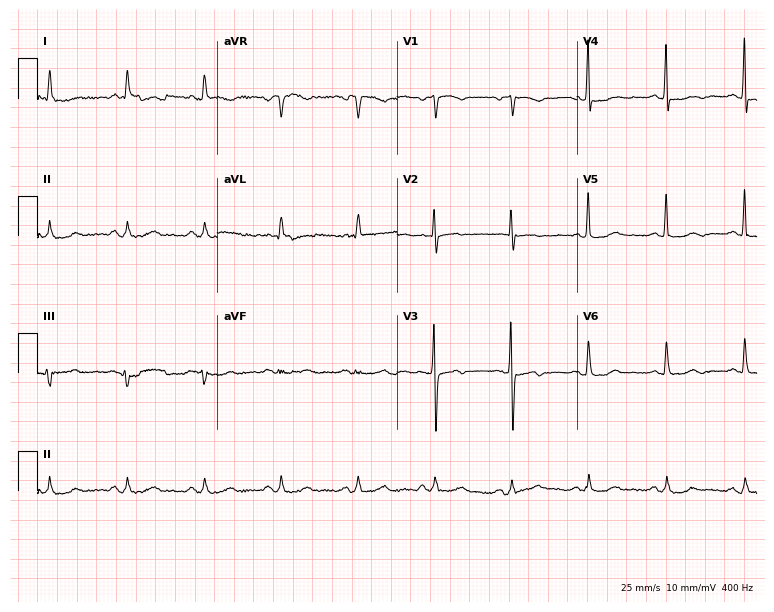
Resting 12-lead electrocardiogram (7.3-second recording at 400 Hz). Patient: a female, 56 years old. None of these six findings is recorded: first-degree AV block, right bundle branch block, left bundle branch block, sinus bradycardia, atrial fibrillation, sinus tachycardia.